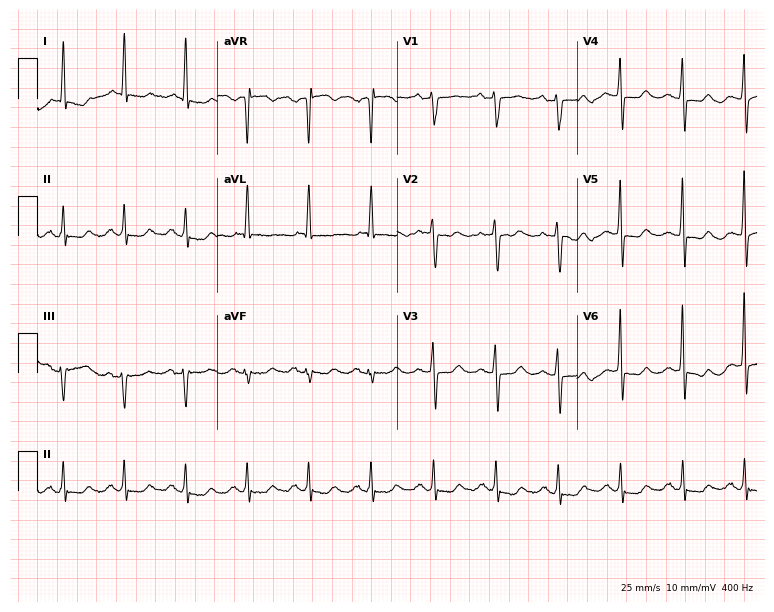
Electrocardiogram (7.3-second recording at 400 Hz), an 82-year-old female patient. Of the six screened findings (first-degree AV block, right bundle branch block, left bundle branch block, sinus bradycardia, atrial fibrillation, sinus tachycardia), none is recorded.